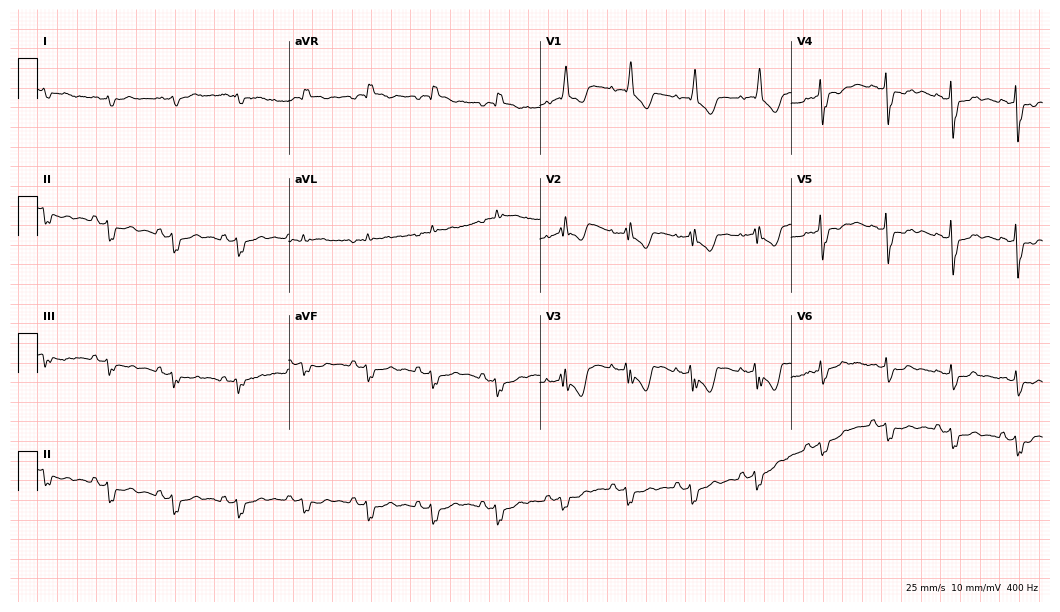
Standard 12-lead ECG recorded from an 84-year-old woman. None of these six findings is recorded: first-degree AV block, right bundle branch block, left bundle branch block, sinus bradycardia, atrial fibrillation, sinus tachycardia. Only these six findings were labelled.